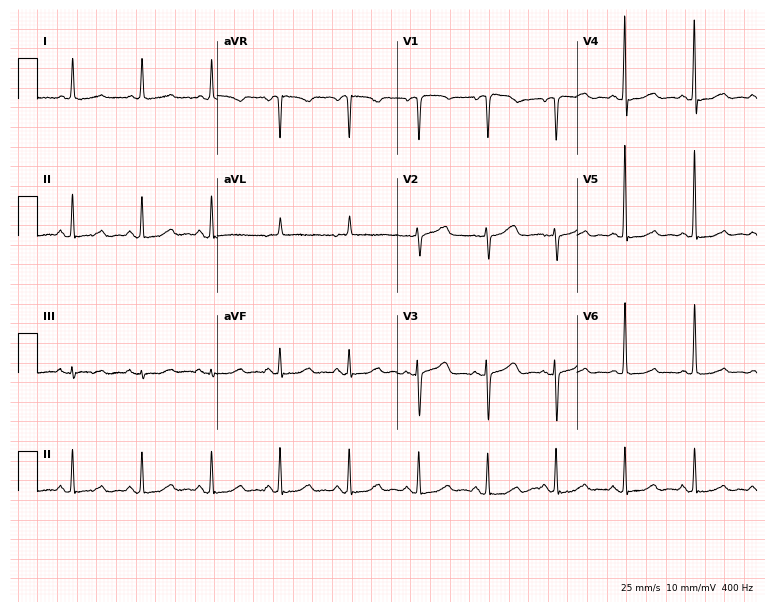
12-lead ECG from an 81-year-old female. Recorded interpretation: within normal limits.